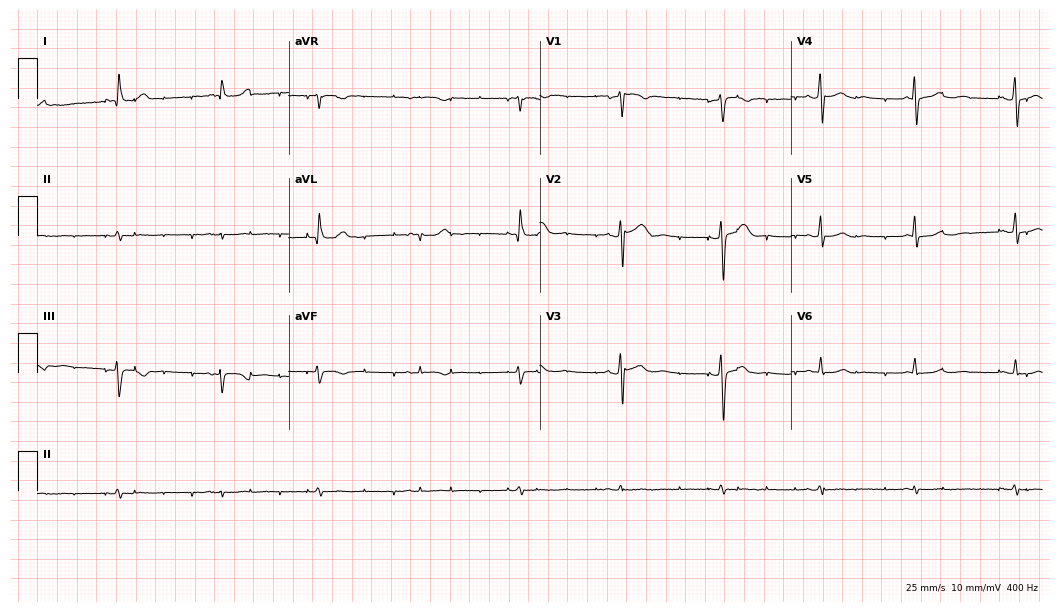
Resting 12-lead electrocardiogram (10.2-second recording at 400 Hz). Patient: a 49-year-old woman. None of these six findings is recorded: first-degree AV block, right bundle branch block (RBBB), left bundle branch block (LBBB), sinus bradycardia, atrial fibrillation (AF), sinus tachycardia.